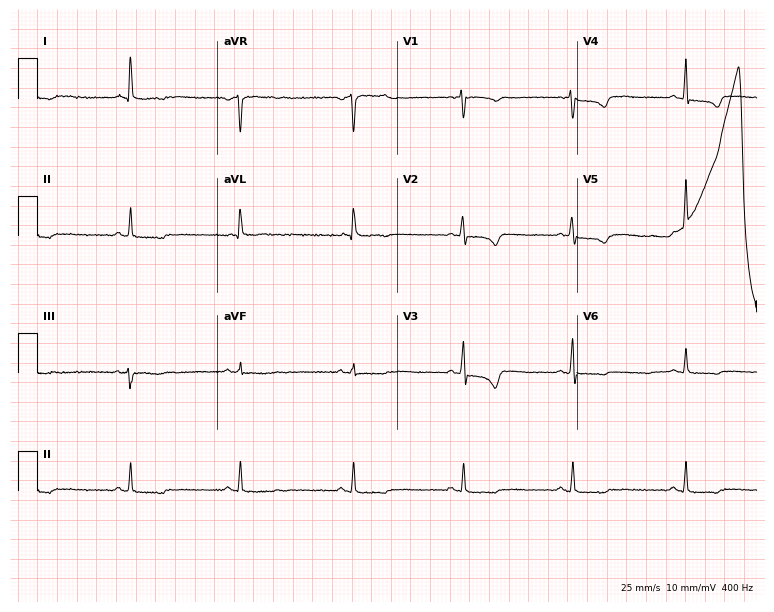
12-lead ECG from a 71-year-old woman. Screened for six findings — first-degree AV block, right bundle branch block, left bundle branch block, sinus bradycardia, atrial fibrillation, sinus tachycardia — none is recorded. Only these six findings were labelled.